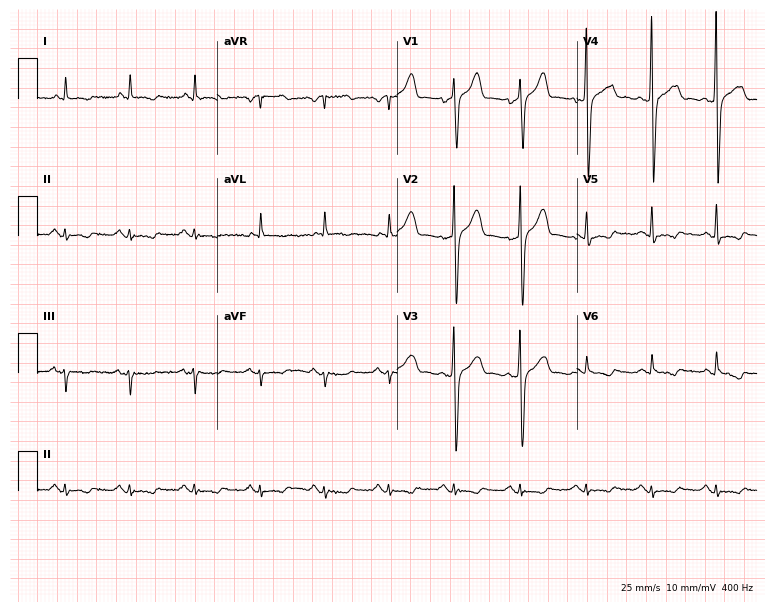
12-lead ECG from a man, 64 years old (7.3-second recording at 400 Hz). No first-degree AV block, right bundle branch block, left bundle branch block, sinus bradycardia, atrial fibrillation or sinus tachycardia recorded for this tracing.